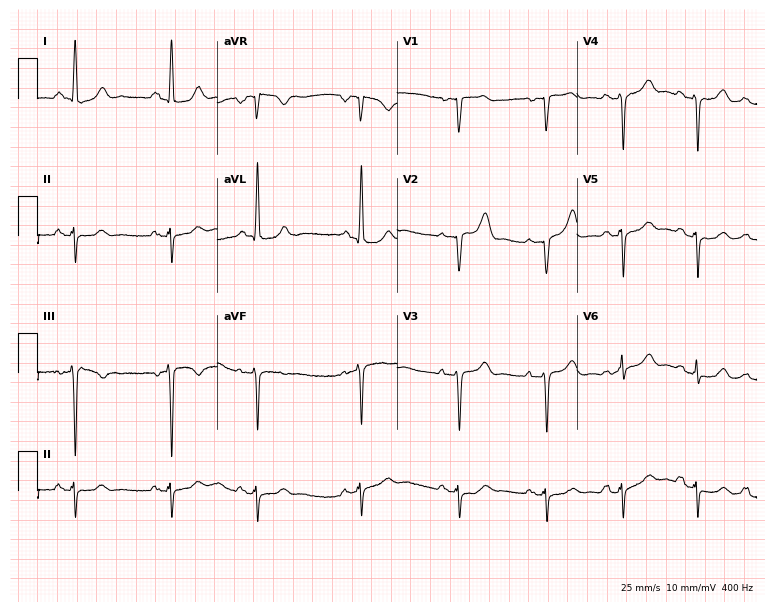
12-lead ECG from a female patient, 79 years old. Screened for six findings — first-degree AV block, right bundle branch block, left bundle branch block, sinus bradycardia, atrial fibrillation, sinus tachycardia — none is recorded. Findings outside these six are not listed.